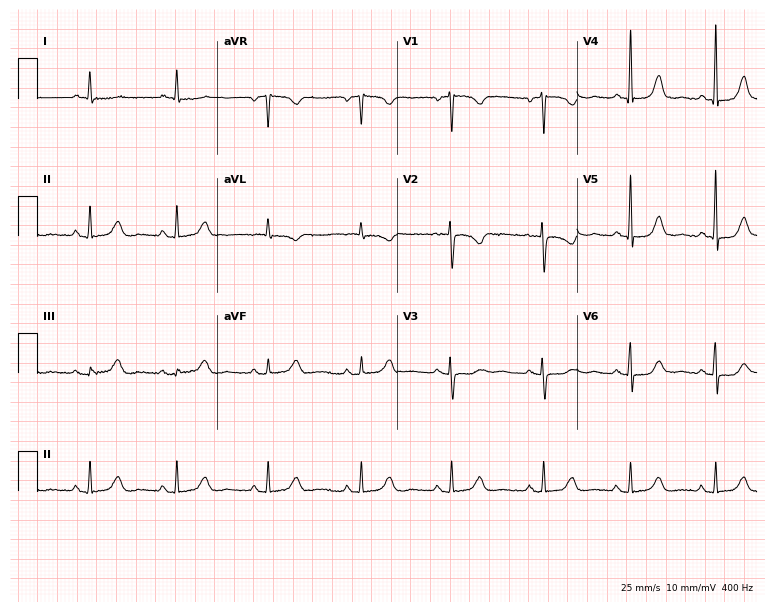
12-lead ECG from a 55-year-old woman (7.3-second recording at 400 Hz). Recorded interpretation: within normal limits.